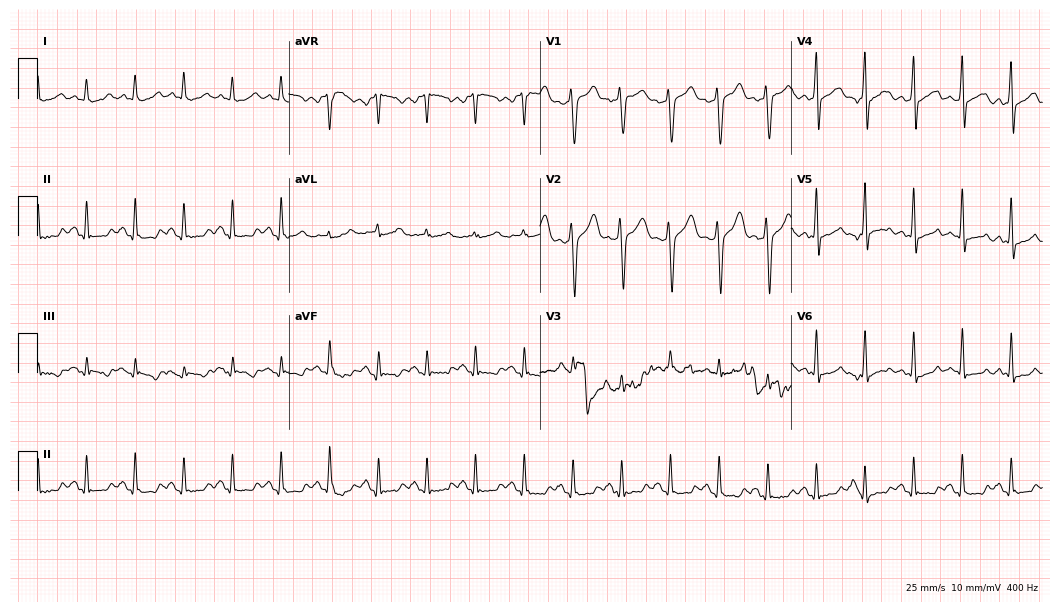
ECG — a man, 35 years old. Findings include sinus tachycardia (a sinus rate of 100 beats per minute or more).